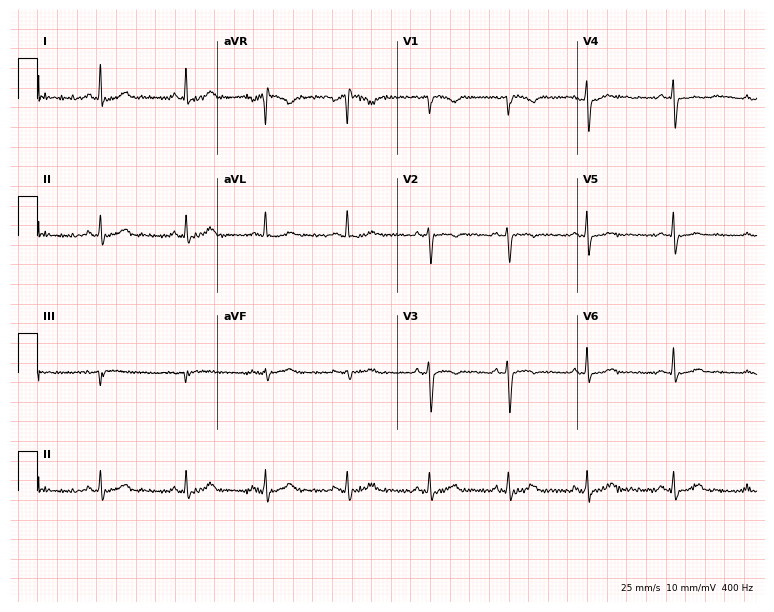
Standard 12-lead ECG recorded from a 46-year-old female. None of these six findings is recorded: first-degree AV block, right bundle branch block, left bundle branch block, sinus bradycardia, atrial fibrillation, sinus tachycardia.